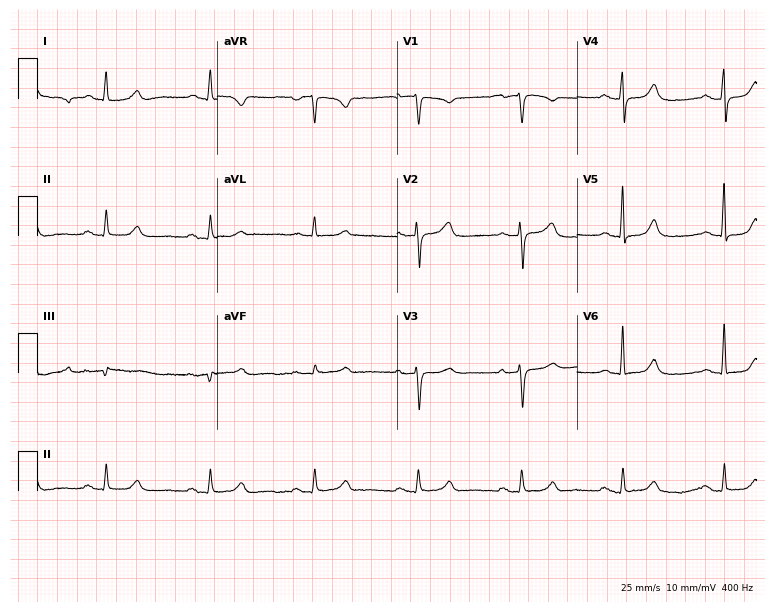
ECG (7.3-second recording at 400 Hz) — a female patient, 65 years old. Labelled as a normal ECG.